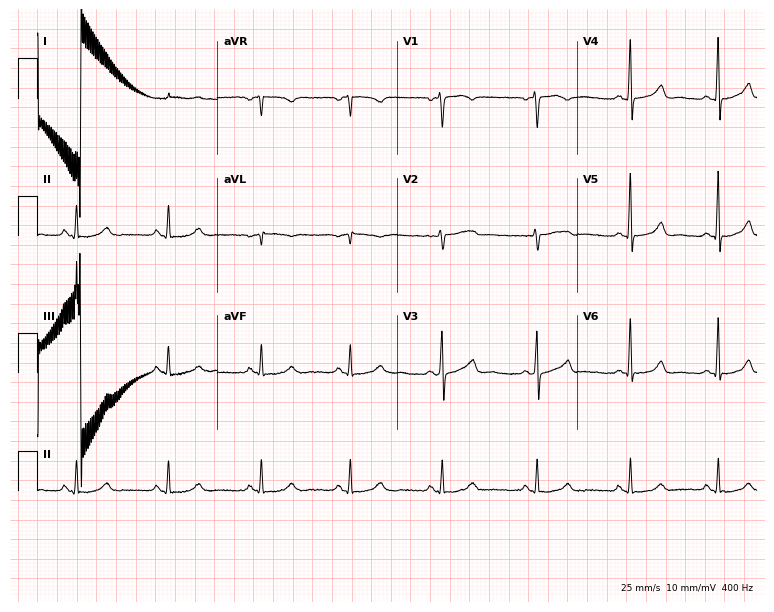
ECG — a female patient, 49 years old. Screened for six findings — first-degree AV block, right bundle branch block, left bundle branch block, sinus bradycardia, atrial fibrillation, sinus tachycardia — none is recorded.